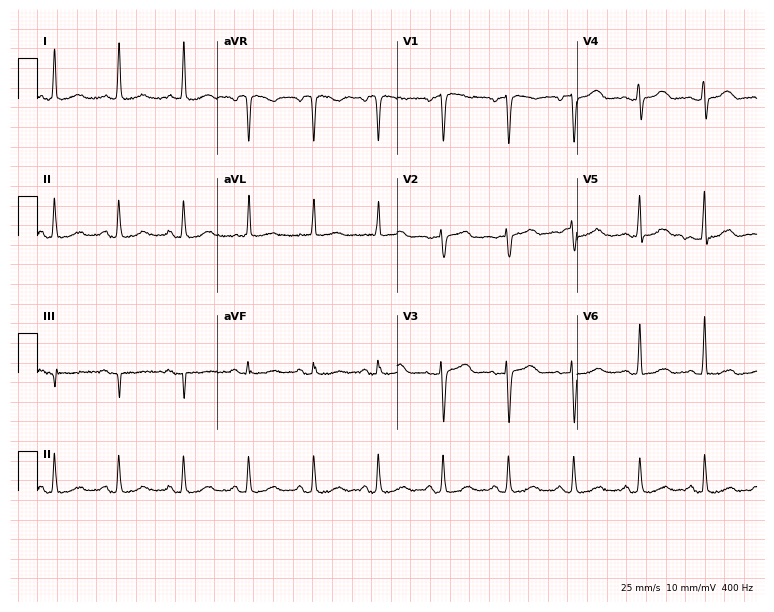
ECG (7.3-second recording at 400 Hz) — a 61-year-old female. Screened for six findings — first-degree AV block, right bundle branch block, left bundle branch block, sinus bradycardia, atrial fibrillation, sinus tachycardia — none is recorded.